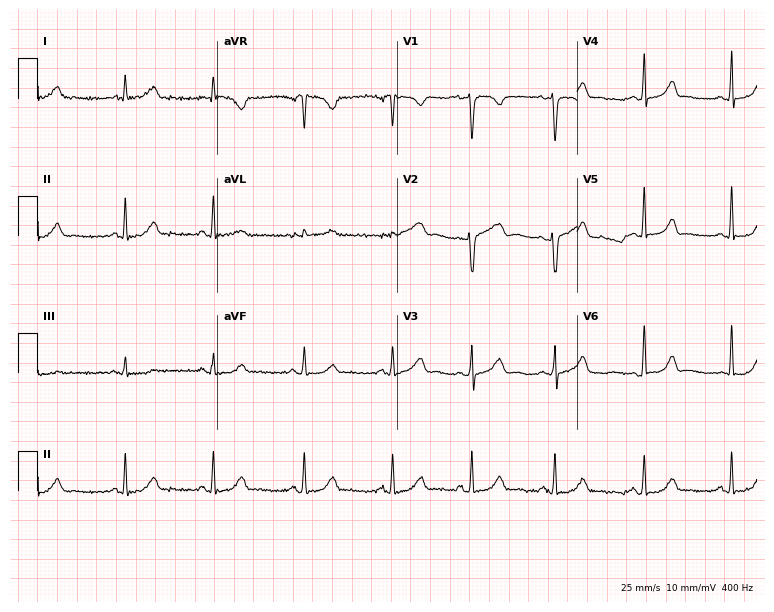
ECG (7.3-second recording at 400 Hz) — a woman, 29 years old. Labelled as a normal ECG.